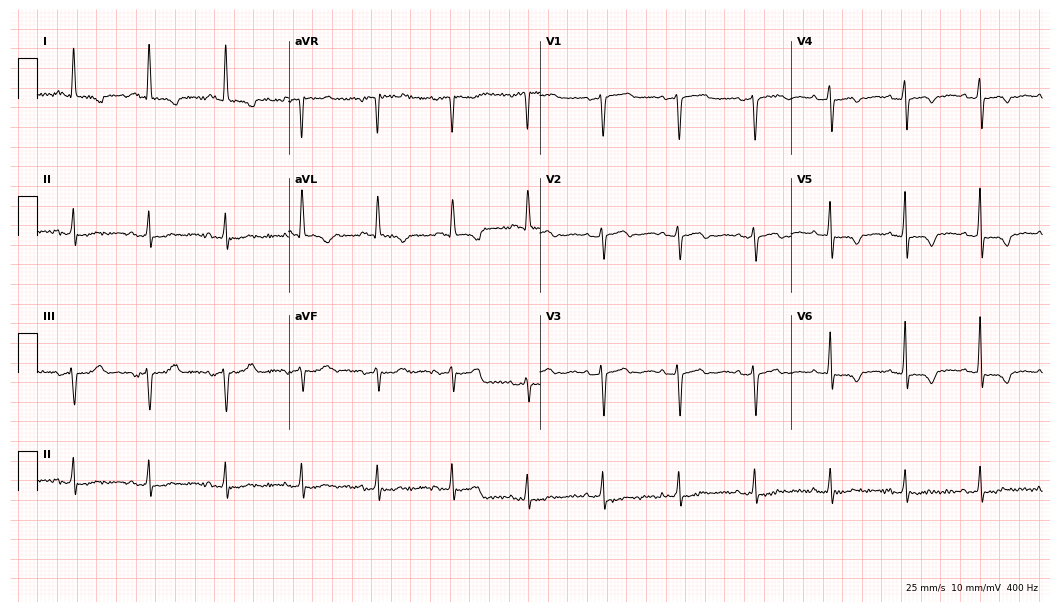
Electrocardiogram, a 71-year-old woman. Of the six screened findings (first-degree AV block, right bundle branch block, left bundle branch block, sinus bradycardia, atrial fibrillation, sinus tachycardia), none is recorded. Findings outside these six are not listed.